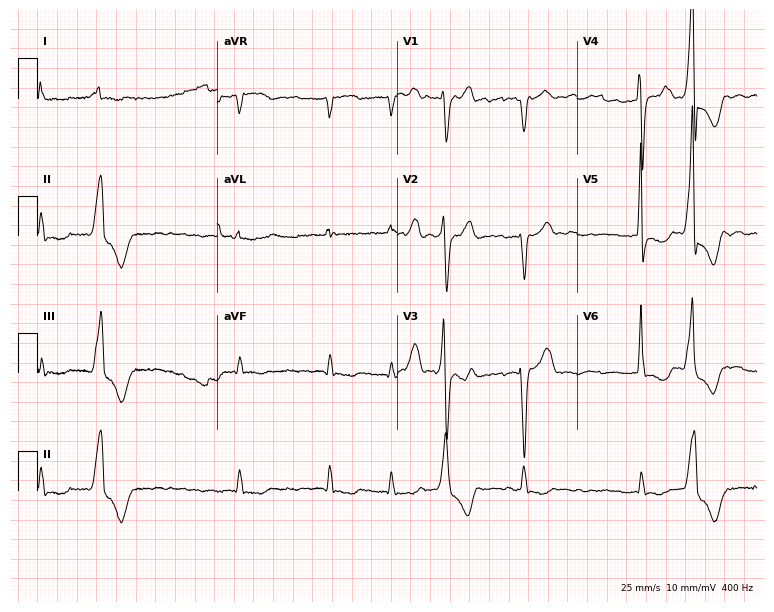
12-lead ECG from a male, 78 years old. Findings include atrial fibrillation.